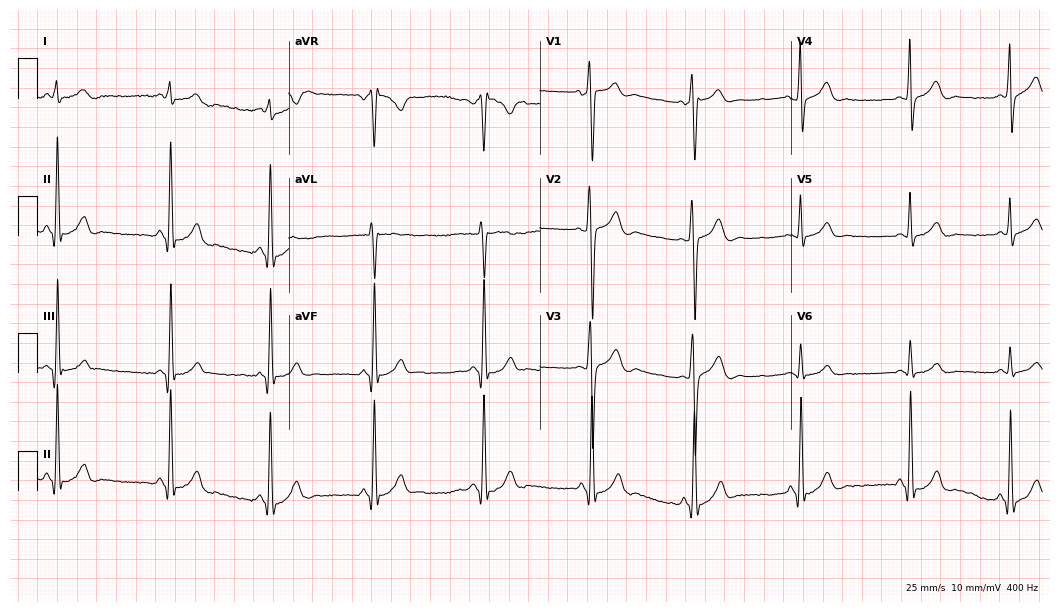
Resting 12-lead electrocardiogram. Patient: a male, 21 years old. None of these six findings is recorded: first-degree AV block, right bundle branch block, left bundle branch block, sinus bradycardia, atrial fibrillation, sinus tachycardia.